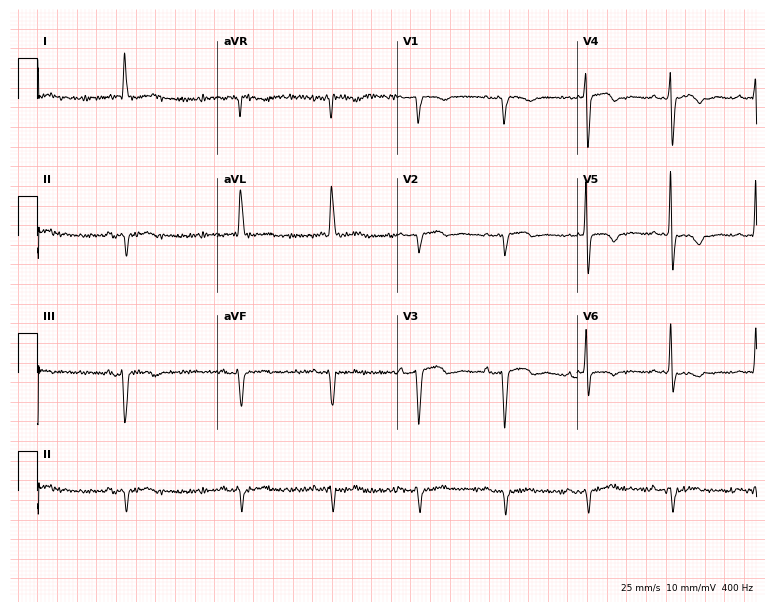
Standard 12-lead ECG recorded from a woman, 75 years old (7.3-second recording at 400 Hz). None of these six findings is recorded: first-degree AV block, right bundle branch block (RBBB), left bundle branch block (LBBB), sinus bradycardia, atrial fibrillation (AF), sinus tachycardia.